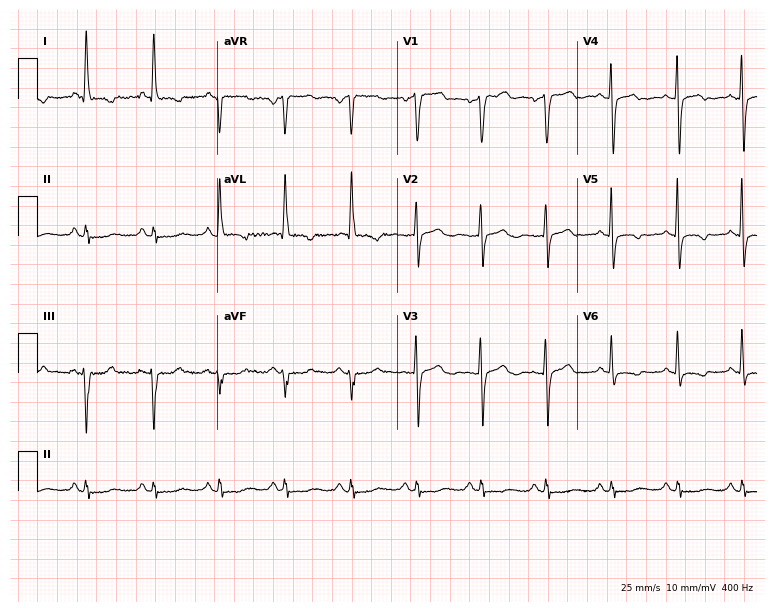
Resting 12-lead electrocardiogram. Patient: an 81-year-old woman. None of these six findings is recorded: first-degree AV block, right bundle branch block, left bundle branch block, sinus bradycardia, atrial fibrillation, sinus tachycardia.